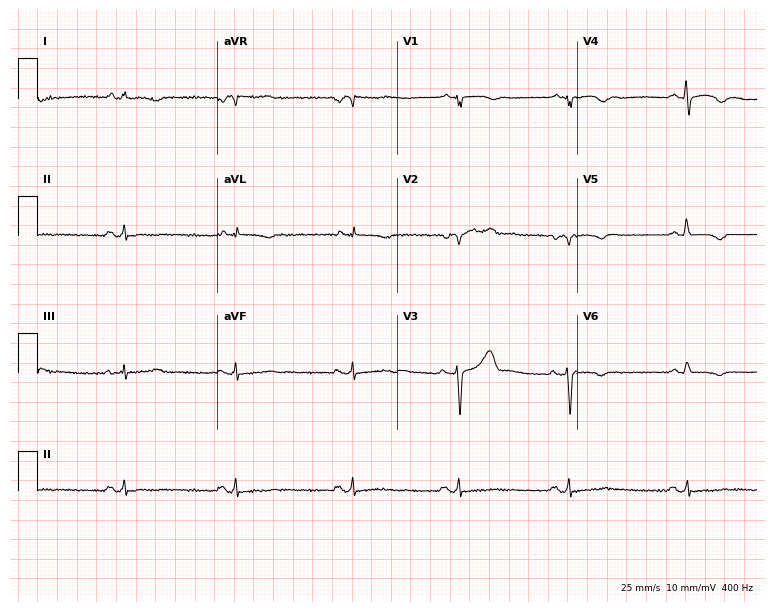
Standard 12-lead ECG recorded from a 76-year-old man. None of these six findings is recorded: first-degree AV block, right bundle branch block, left bundle branch block, sinus bradycardia, atrial fibrillation, sinus tachycardia. Other findings, if any, are not listed.